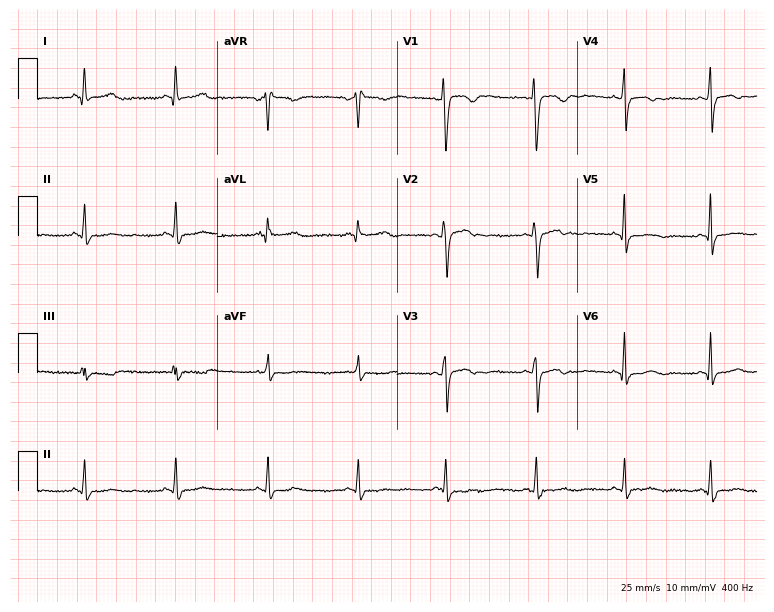
Resting 12-lead electrocardiogram. Patient: a woman, 37 years old. None of these six findings is recorded: first-degree AV block, right bundle branch block (RBBB), left bundle branch block (LBBB), sinus bradycardia, atrial fibrillation (AF), sinus tachycardia. Only these six findings were labelled.